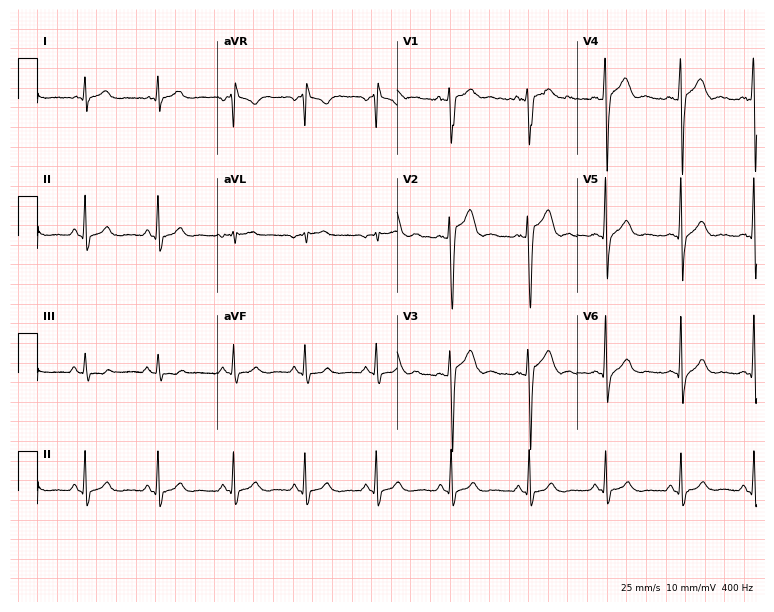
12-lead ECG from a male, 20 years old. Screened for six findings — first-degree AV block, right bundle branch block, left bundle branch block, sinus bradycardia, atrial fibrillation, sinus tachycardia — none is recorded. Findings outside these six are not listed.